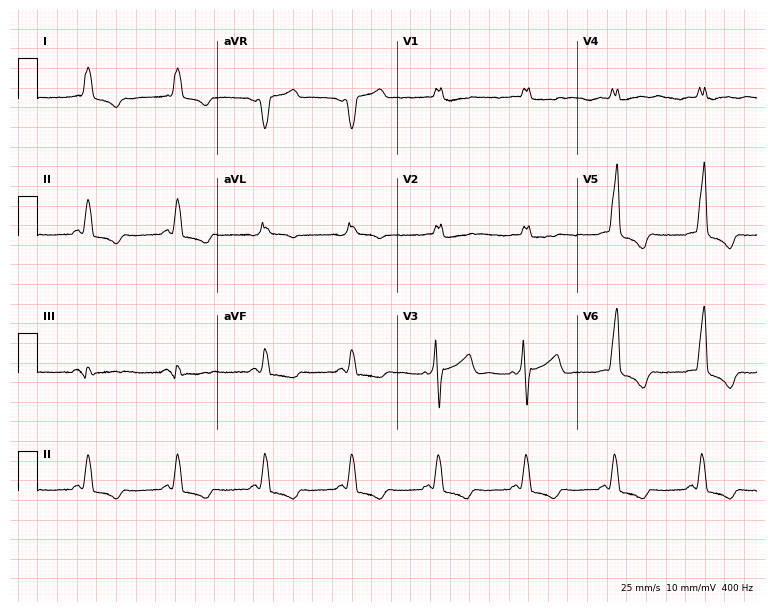
Standard 12-lead ECG recorded from a male, 65 years old (7.3-second recording at 400 Hz). None of these six findings is recorded: first-degree AV block, right bundle branch block, left bundle branch block, sinus bradycardia, atrial fibrillation, sinus tachycardia.